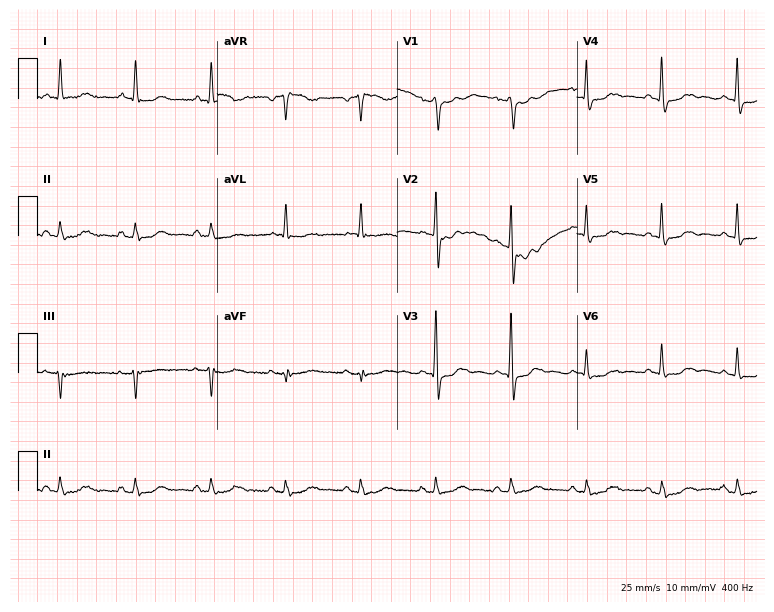
ECG — a 65-year-old female patient. Screened for six findings — first-degree AV block, right bundle branch block, left bundle branch block, sinus bradycardia, atrial fibrillation, sinus tachycardia — none is recorded.